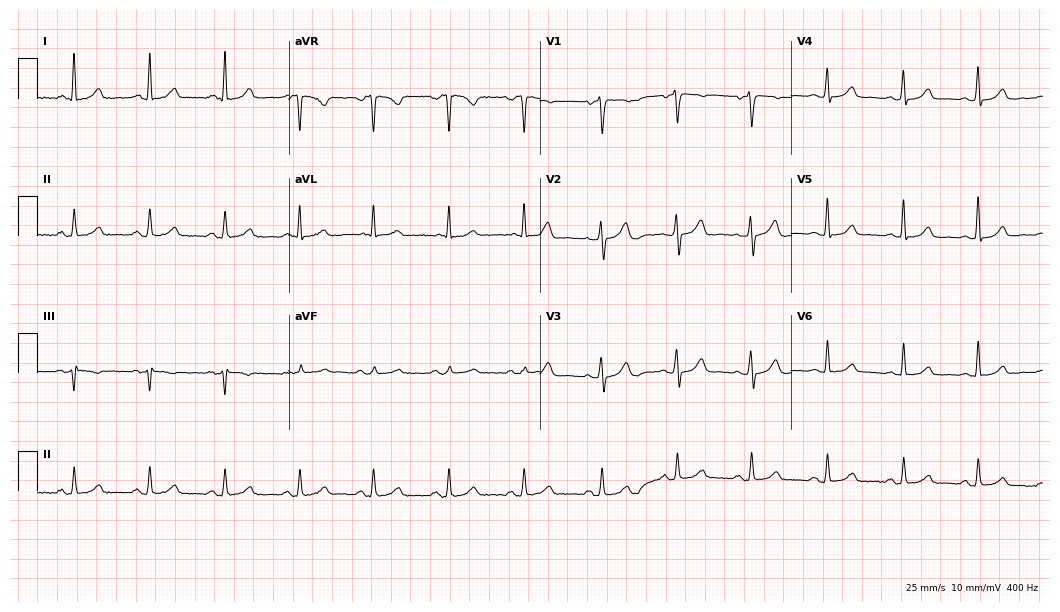
12-lead ECG (10.2-second recording at 400 Hz) from a female patient, 49 years old. Screened for six findings — first-degree AV block, right bundle branch block (RBBB), left bundle branch block (LBBB), sinus bradycardia, atrial fibrillation (AF), sinus tachycardia — none is recorded. Findings outside these six are not listed.